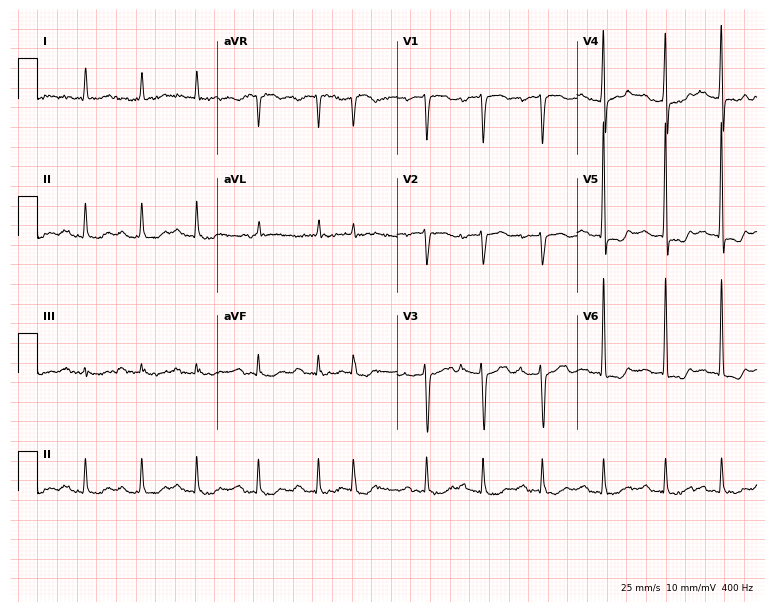
Standard 12-lead ECG recorded from a female patient, 80 years old. The tracing shows first-degree AV block.